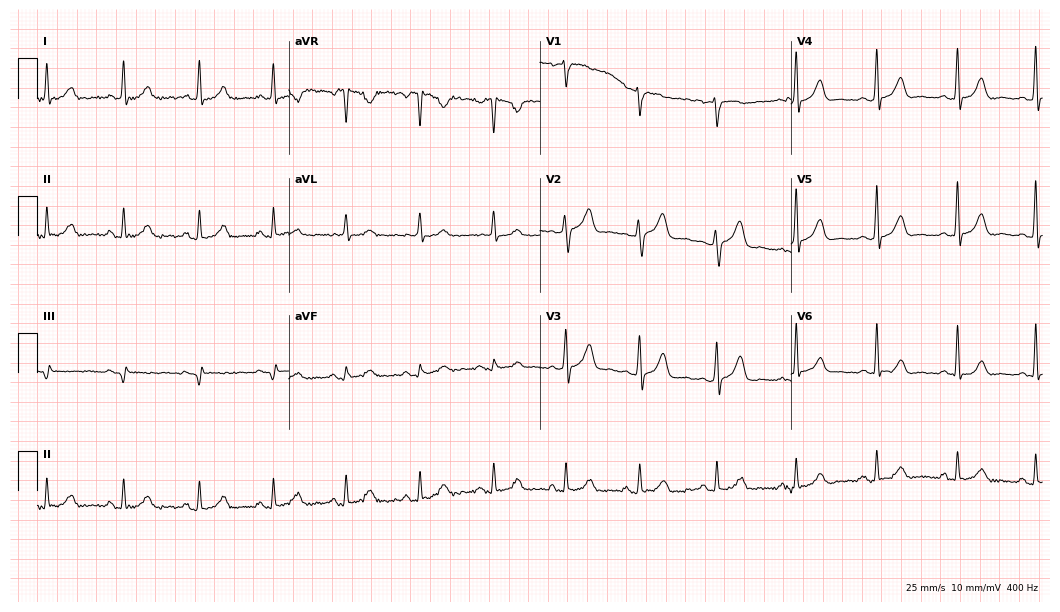
Resting 12-lead electrocardiogram (10.2-second recording at 400 Hz). Patient: a female, 34 years old. None of these six findings is recorded: first-degree AV block, right bundle branch block, left bundle branch block, sinus bradycardia, atrial fibrillation, sinus tachycardia. Other findings, if any, are not listed.